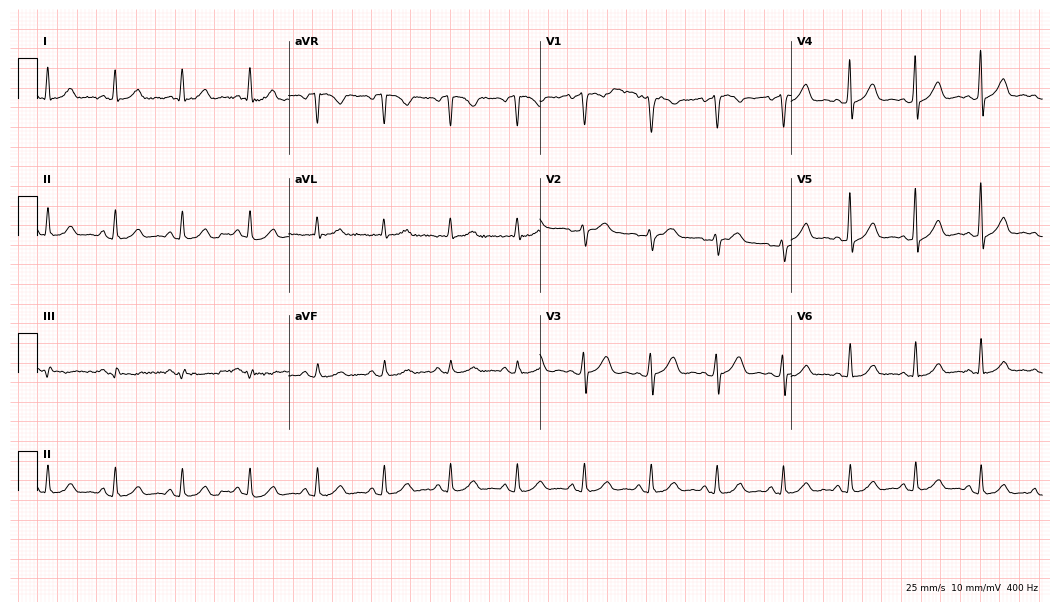
Electrocardiogram, a 46-year-old woman. Overall reading on record: normal ECG.